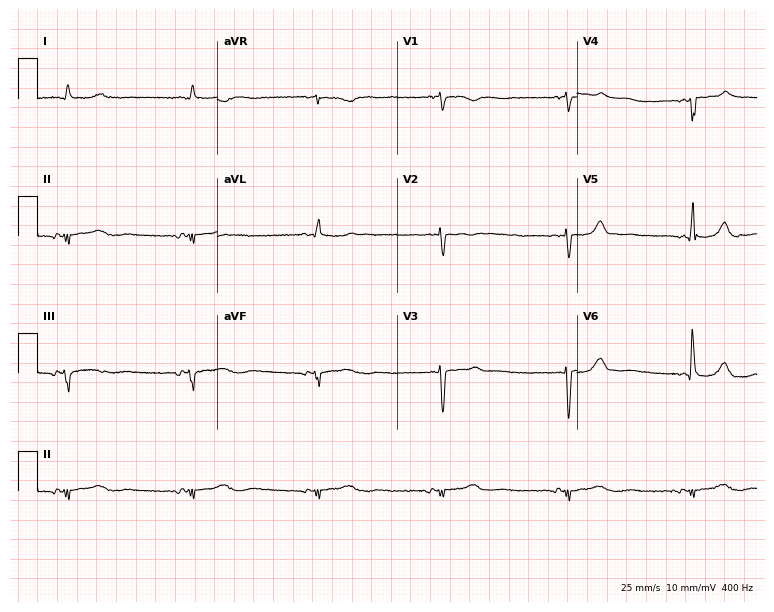
ECG (7.3-second recording at 400 Hz) — a 54-year-old woman. Screened for six findings — first-degree AV block, right bundle branch block, left bundle branch block, sinus bradycardia, atrial fibrillation, sinus tachycardia — none is recorded.